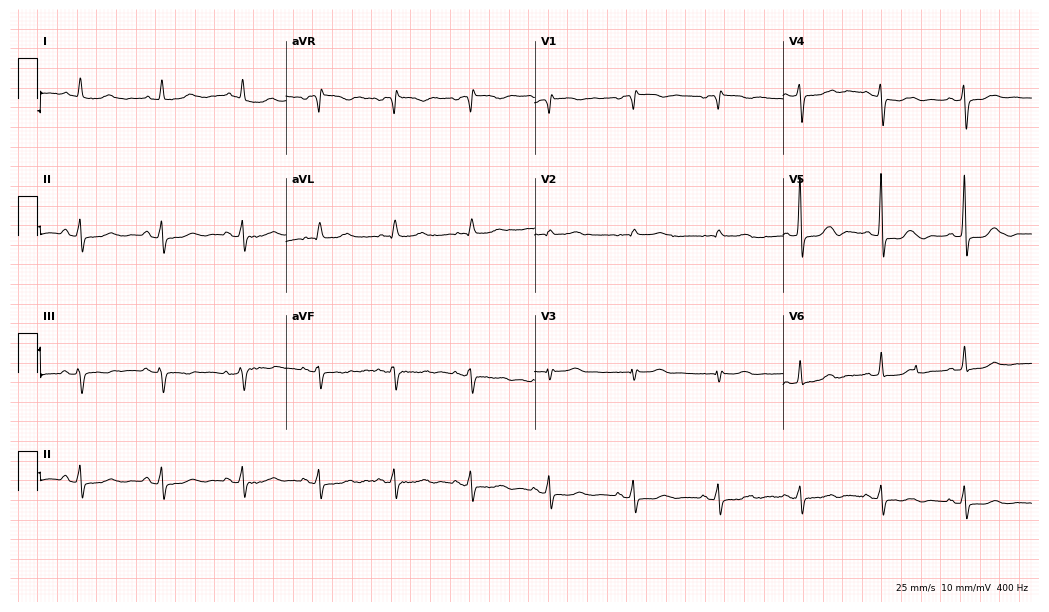
ECG (10.1-second recording at 400 Hz) — a female, 78 years old. Screened for six findings — first-degree AV block, right bundle branch block, left bundle branch block, sinus bradycardia, atrial fibrillation, sinus tachycardia — none is recorded. Findings outside these six are not listed.